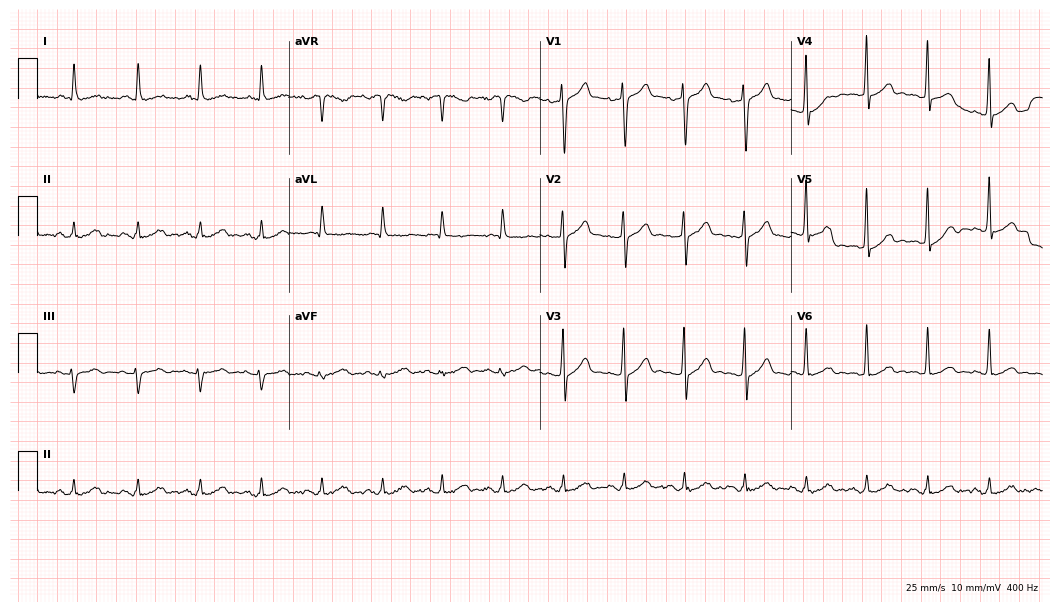
Resting 12-lead electrocardiogram. Patient: a 61-year-old male. Read as a normal ECG.